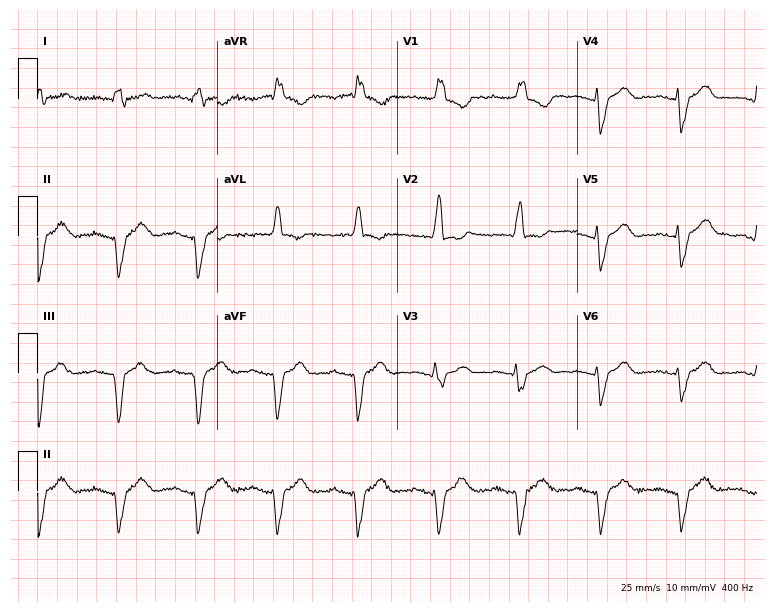
12-lead ECG (7.3-second recording at 400 Hz) from an 84-year-old male. Findings include right bundle branch block.